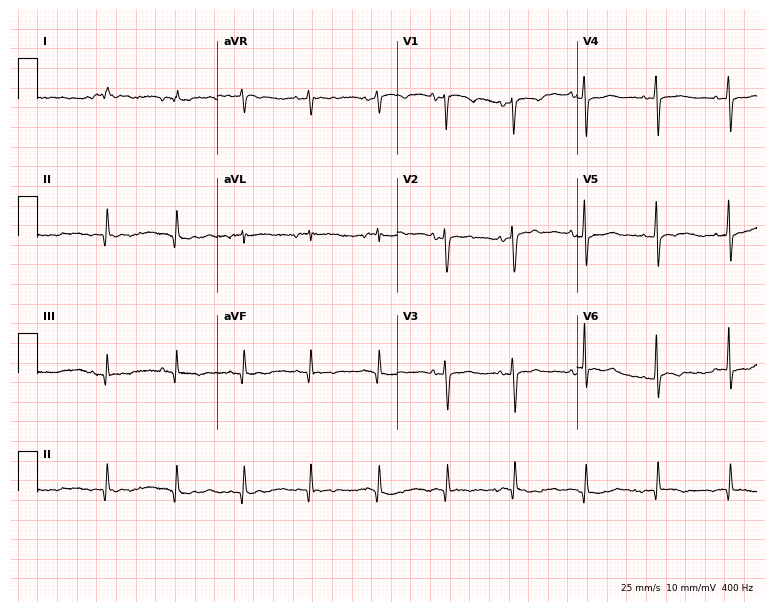
Standard 12-lead ECG recorded from a female, 74 years old. None of these six findings is recorded: first-degree AV block, right bundle branch block (RBBB), left bundle branch block (LBBB), sinus bradycardia, atrial fibrillation (AF), sinus tachycardia. Only these six findings were labelled.